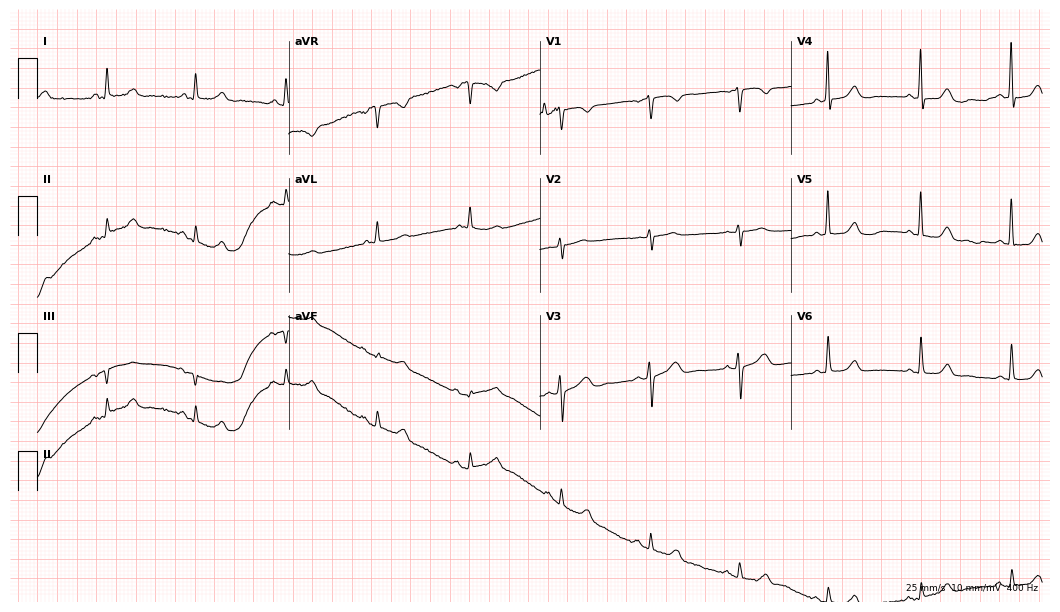
Resting 12-lead electrocardiogram (10.2-second recording at 400 Hz). Patient: a woman, 64 years old. Read as a normal ECG.